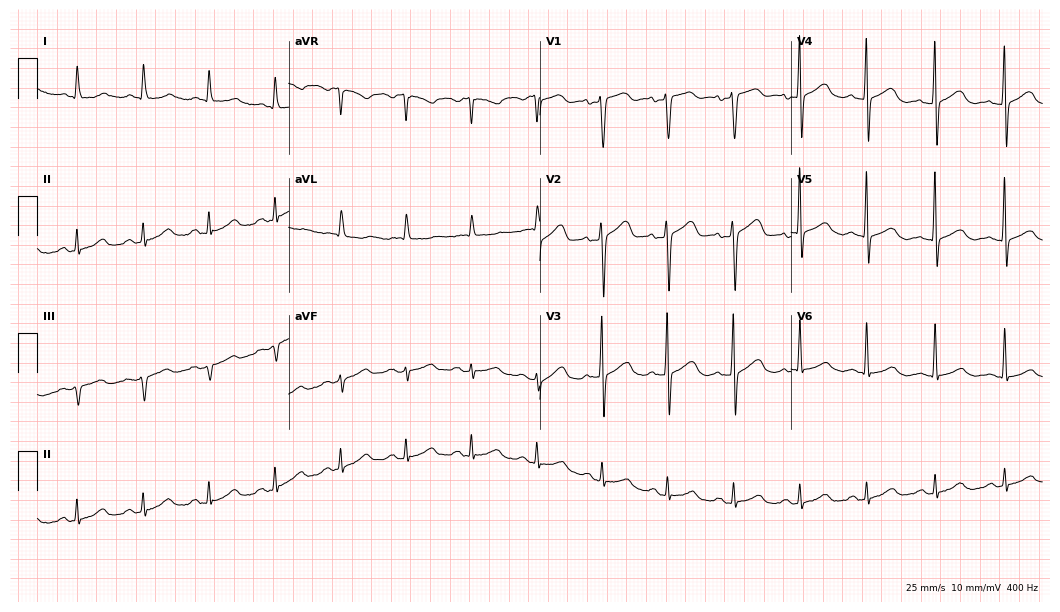
Electrocardiogram, a 70-year-old female. Overall reading on record: normal ECG.